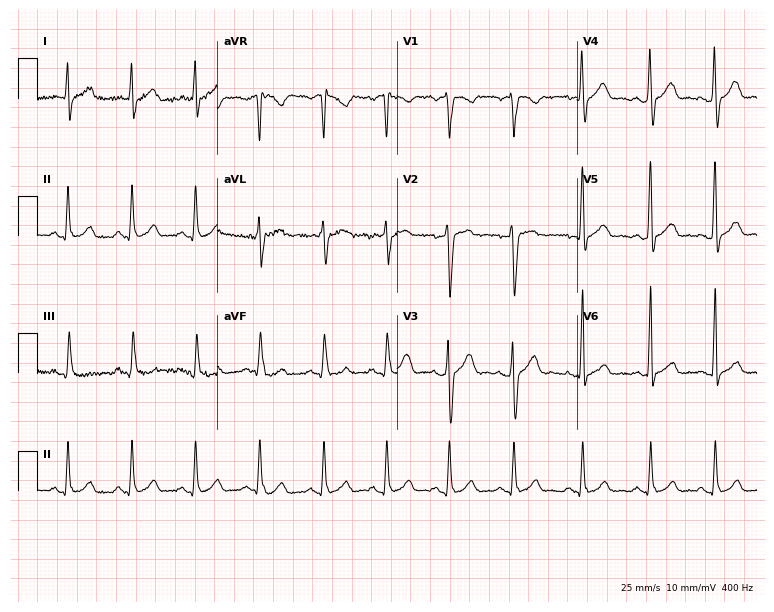
12-lead ECG from a male, 24 years old. Labelled as a normal ECG.